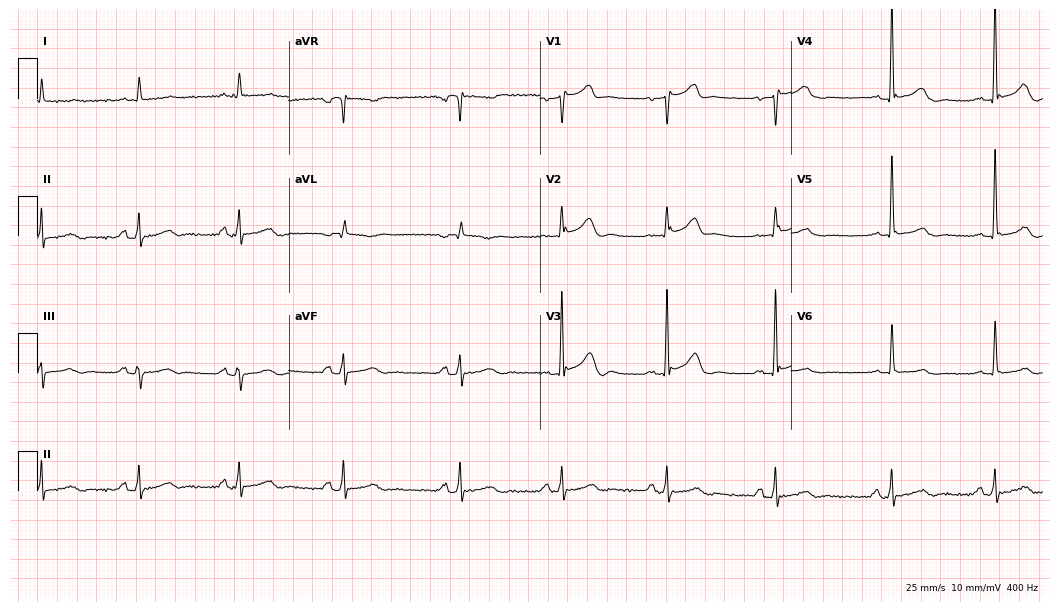
Standard 12-lead ECG recorded from a man, 75 years old (10.2-second recording at 400 Hz). None of these six findings is recorded: first-degree AV block, right bundle branch block, left bundle branch block, sinus bradycardia, atrial fibrillation, sinus tachycardia.